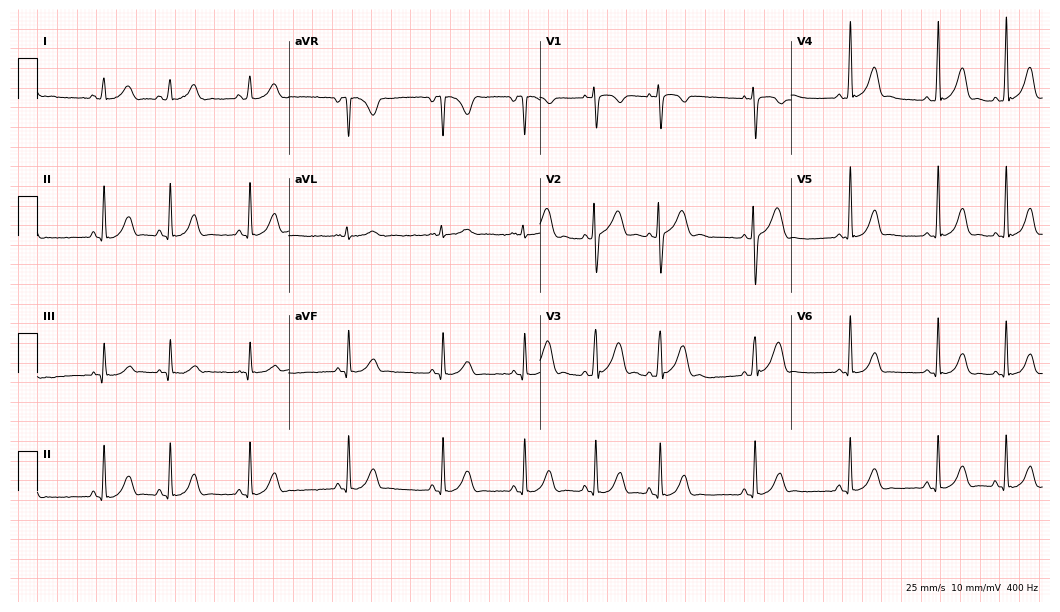
12-lead ECG from a 17-year-old woman. Screened for six findings — first-degree AV block, right bundle branch block (RBBB), left bundle branch block (LBBB), sinus bradycardia, atrial fibrillation (AF), sinus tachycardia — none is recorded. Only these six findings were labelled.